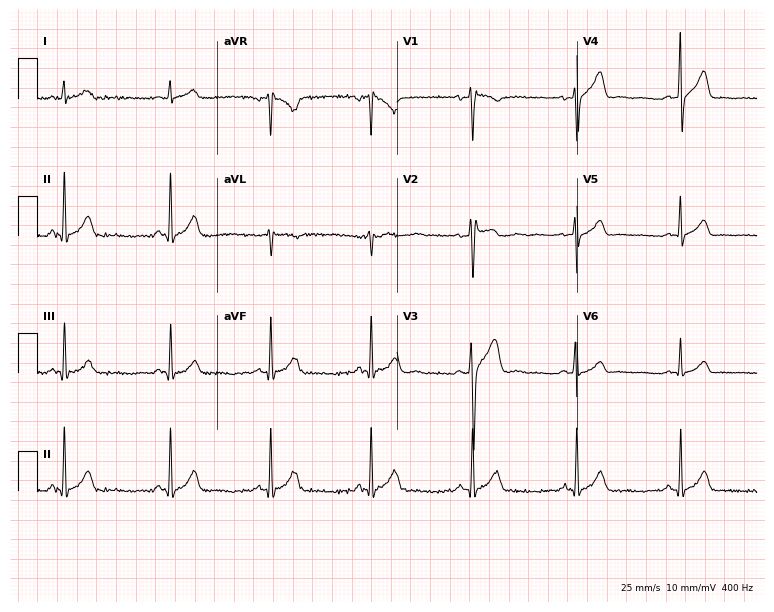
Standard 12-lead ECG recorded from a 28-year-old male patient. None of these six findings is recorded: first-degree AV block, right bundle branch block (RBBB), left bundle branch block (LBBB), sinus bradycardia, atrial fibrillation (AF), sinus tachycardia. Other findings, if any, are not listed.